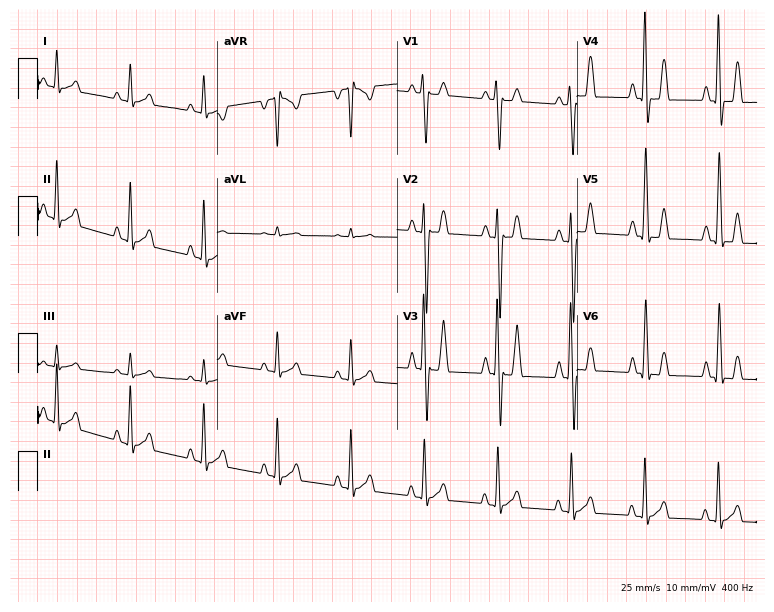
12-lead ECG from a male patient, 33 years old. No first-degree AV block, right bundle branch block, left bundle branch block, sinus bradycardia, atrial fibrillation or sinus tachycardia recorded for this tracing. Findings outside these six are not listed.